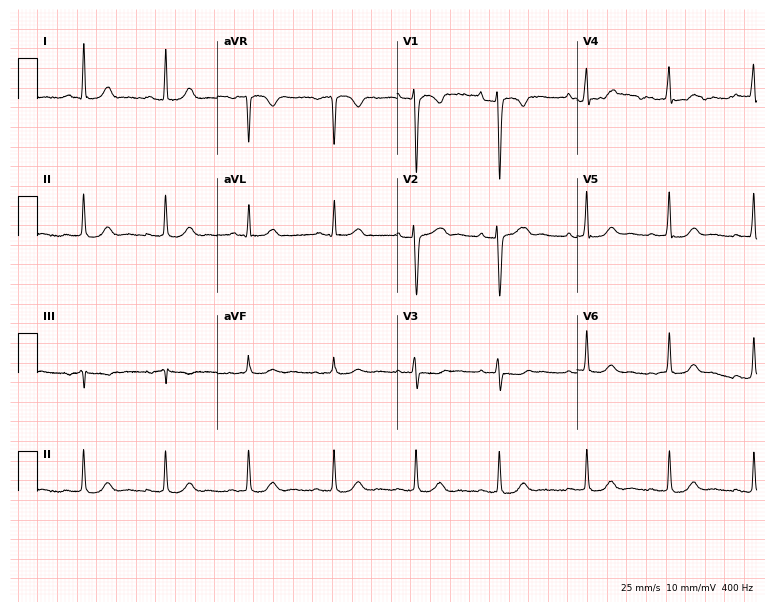
12-lead ECG from a 33-year-old female patient. Labelled as a normal ECG.